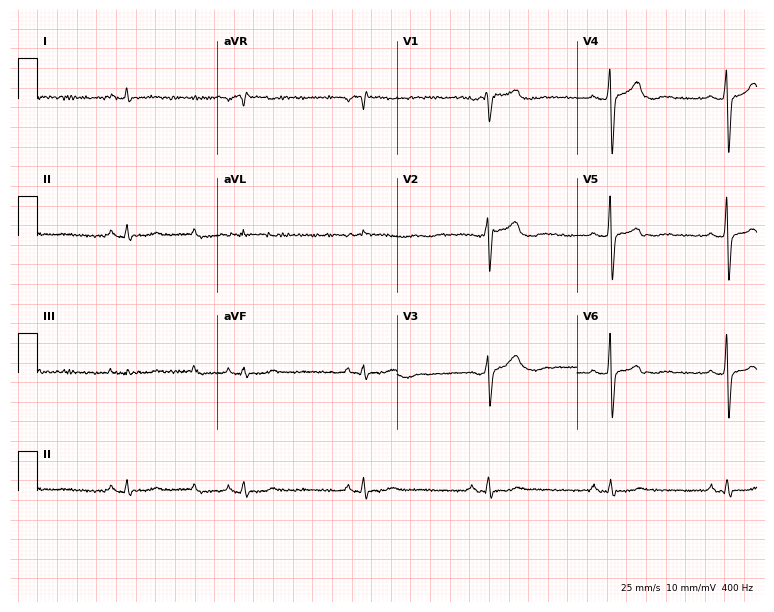
Standard 12-lead ECG recorded from a male patient, 62 years old (7.3-second recording at 400 Hz). The tracing shows sinus bradycardia (a sinus rate of 50 beats per minute or less).